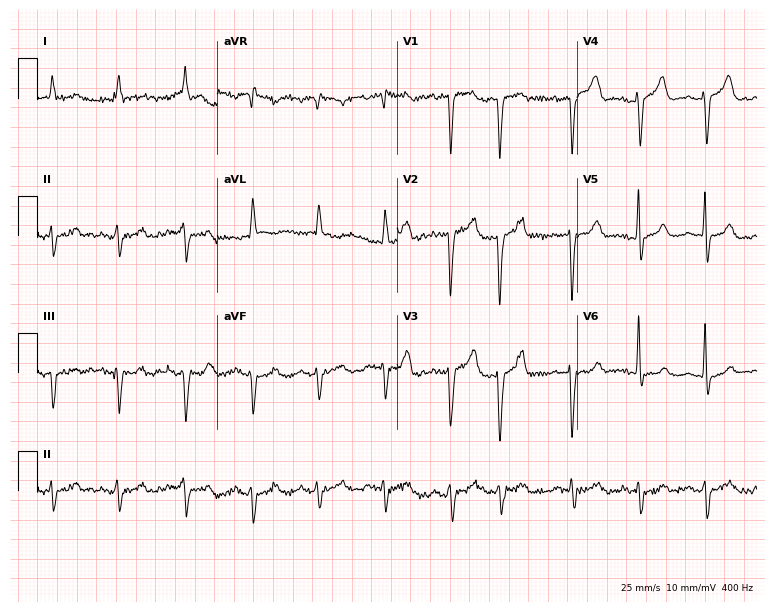
ECG (7.3-second recording at 400 Hz) — a male patient, 80 years old. Screened for six findings — first-degree AV block, right bundle branch block (RBBB), left bundle branch block (LBBB), sinus bradycardia, atrial fibrillation (AF), sinus tachycardia — none is recorded. Findings outside these six are not listed.